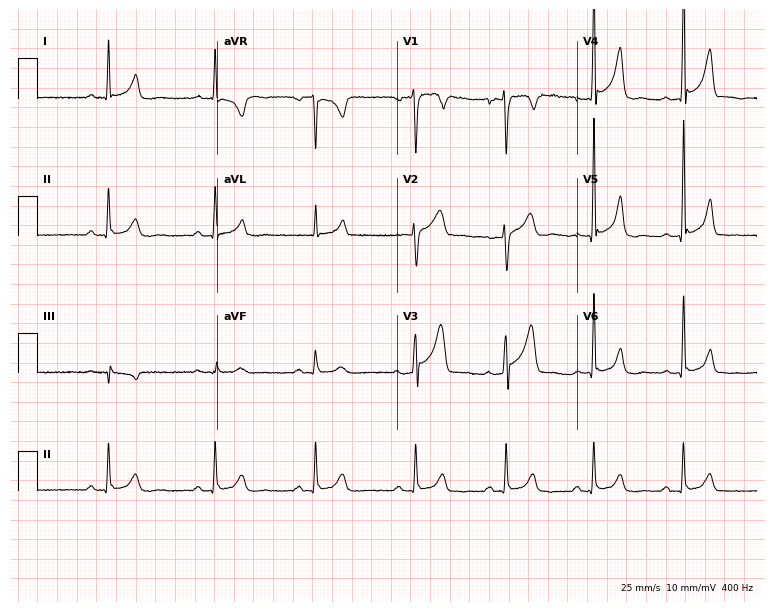
12-lead ECG from a man, 34 years old. Screened for six findings — first-degree AV block, right bundle branch block, left bundle branch block, sinus bradycardia, atrial fibrillation, sinus tachycardia — none is recorded.